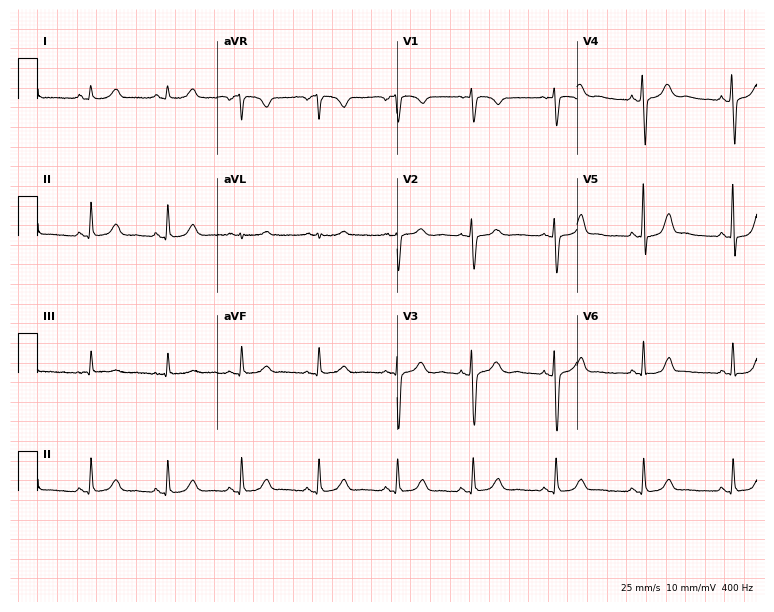
Resting 12-lead electrocardiogram. Patient: a 30-year-old woman. None of these six findings is recorded: first-degree AV block, right bundle branch block, left bundle branch block, sinus bradycardia, atrial fibrillation, sinus tachycardia. Other findings, if any, are not listed.